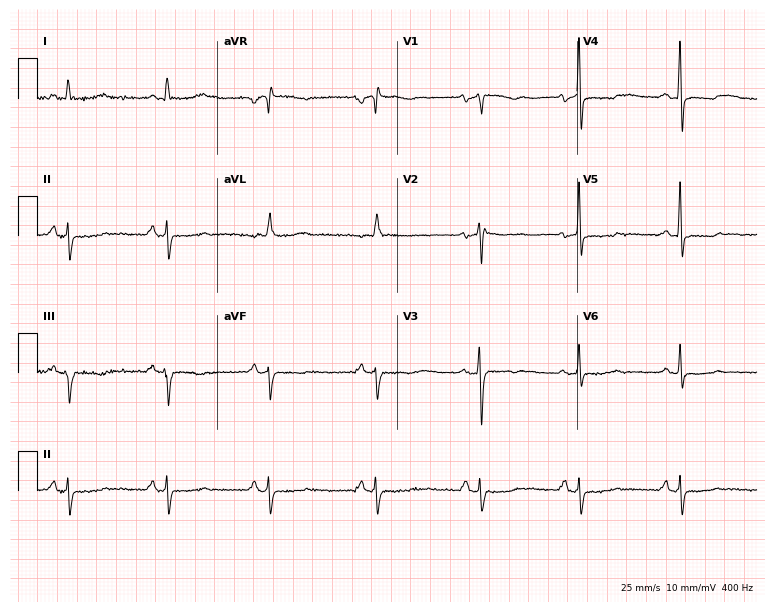
Electrocardiogram, a woman, 75 years old. Of the six screened findings (first-degree AV block, right bundle branch block, left bundle branch block, sinus bradycardia, atrial fibrillation, sinus tachycardia), none is recorded. Other findings, if any, are not listed.